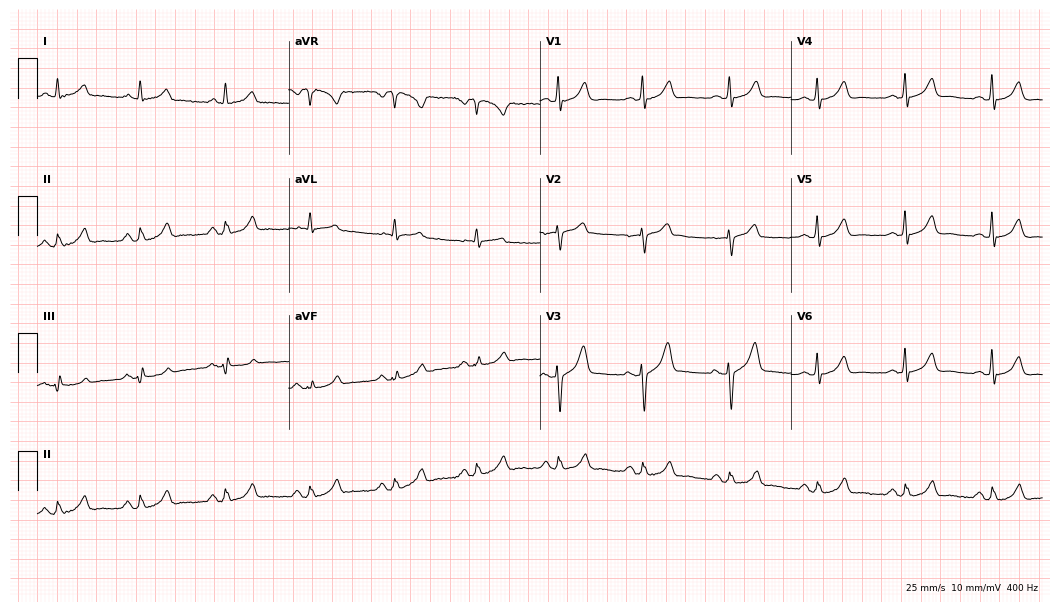
12-lead ECG from a 56-year-old male patient. Labelled as a normal ECG.